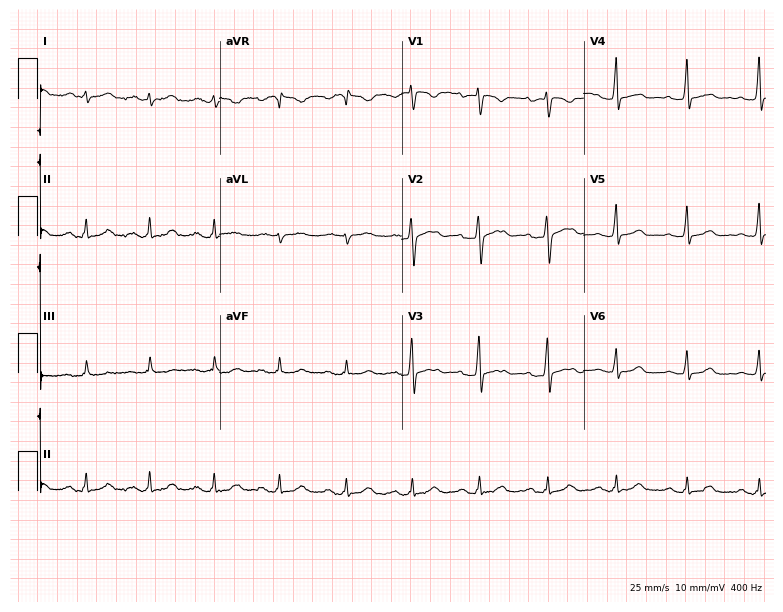
12-lead ECG from a female patient, 46 years old (7.4-second recording at 400 Hz). Recorded interpretation: within normal limits.